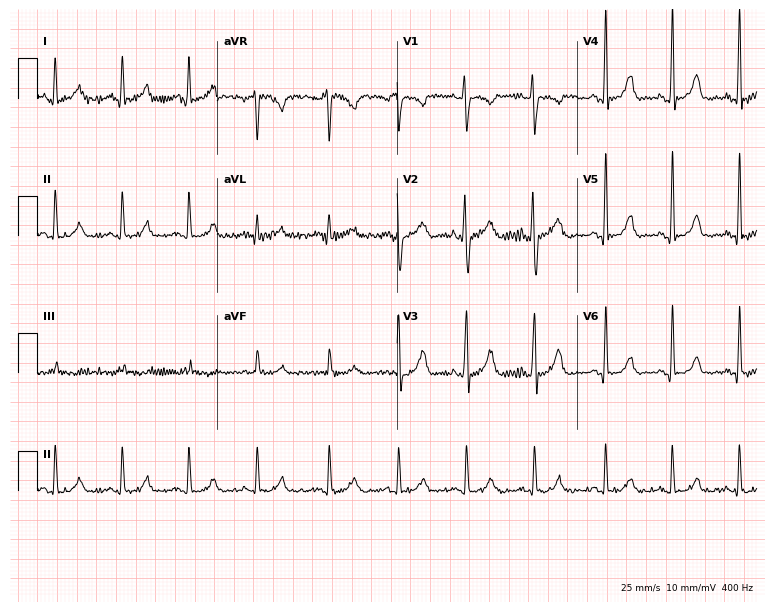
Standard 12-lead ECG recorded from a 29-year-old female. None of these six findings is recorded: first-degree AV block, right bundle branch block, left bundle branch block, sinus bradycardia, atrial fibrillation, sinus tachycardia. Only these six findings were labelled.